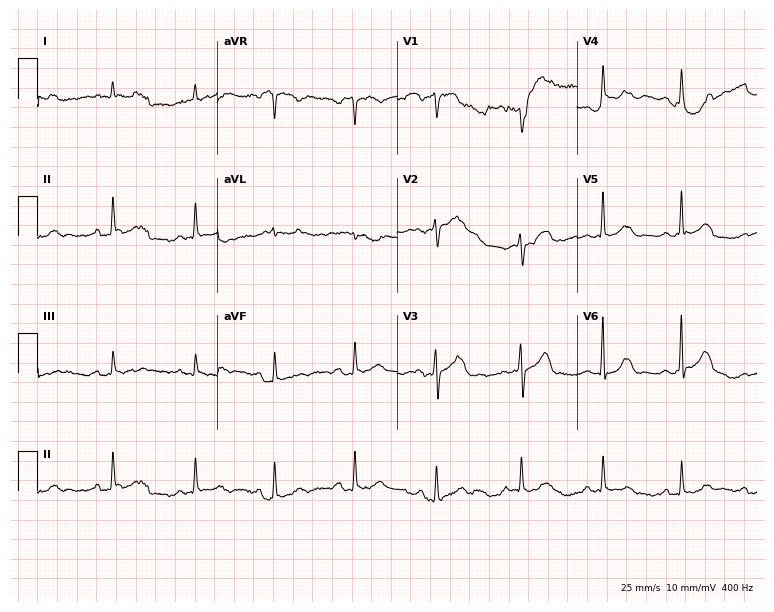
12-lead ECG from a 67-year-old female patient. Screened for six findings — first-degree AV block, right bundle branch block, left bundle branch block, sinus bradycardia, atrial fibrillation, sinus tachycardia — none is recorded.